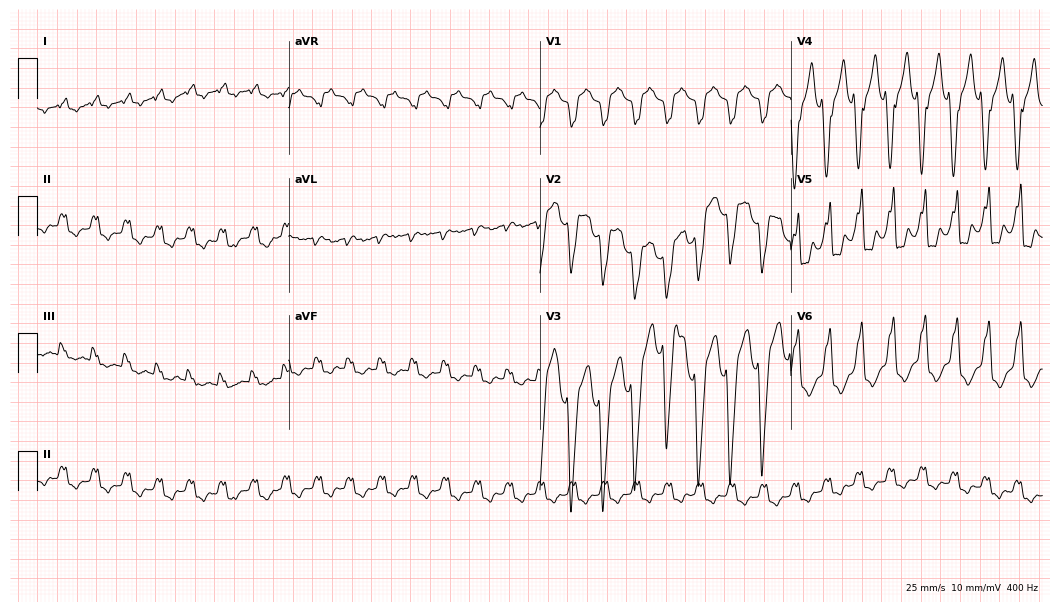
12-lead ECG (10.2-second recording at 400 Hz) from a 69-year-old male patient. Screened for six findings — first-degree AV block, right bundle branch block, left bundle branch block, sinus bradycardia, atrial fibrillation, sinus tachycardia — none is recorded.